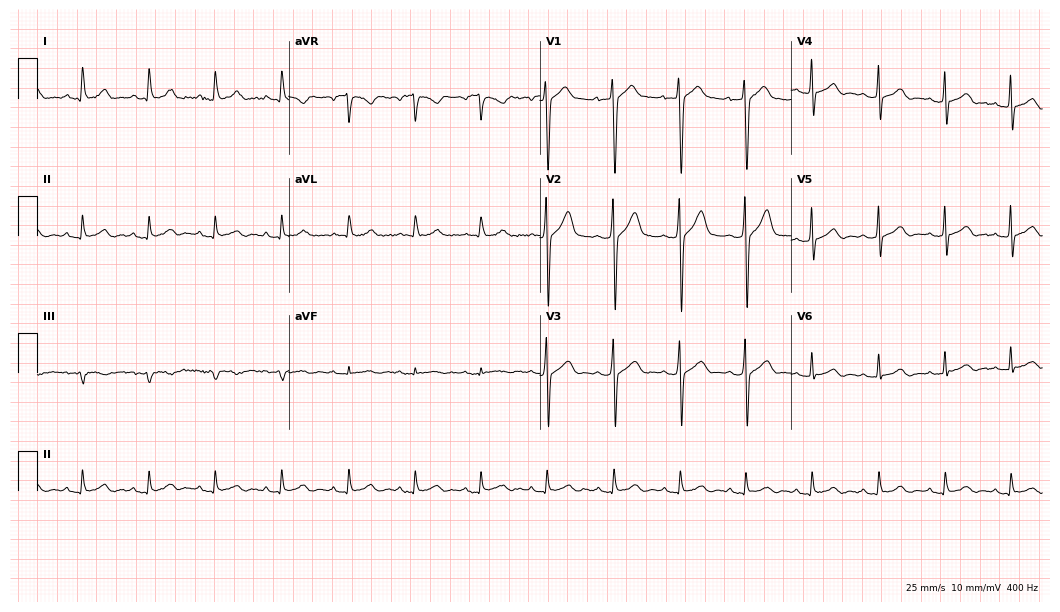
12-lead ECG from a male patient, 27 years old (10.2-second recording at 400 Hz). Recorded interpretation: within normal limits.